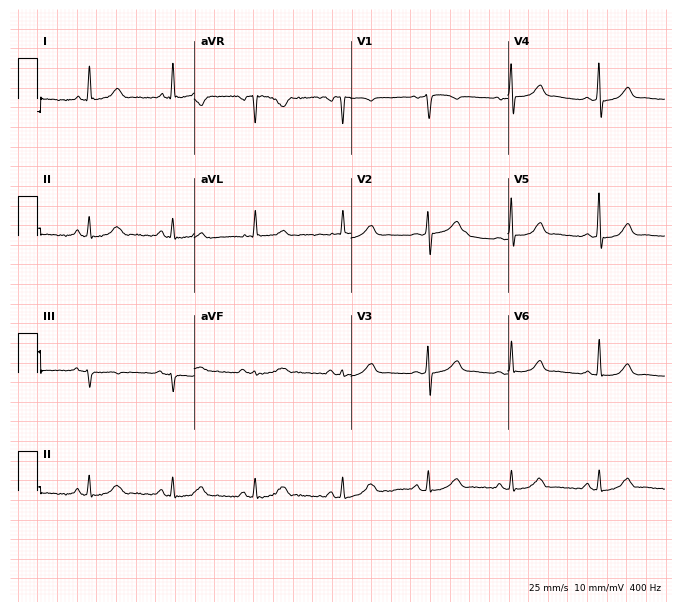
12-lead ECG (6.4-second recording at 400 Hz) from a 57-year-old female patient. Screened for six findings — first-degree AV block, right bundle branch block, left bundle branch block, sinus bradycardia, atrial fibrillation, sinus tachycardia — none is recorded. Only these six findings were labelled.